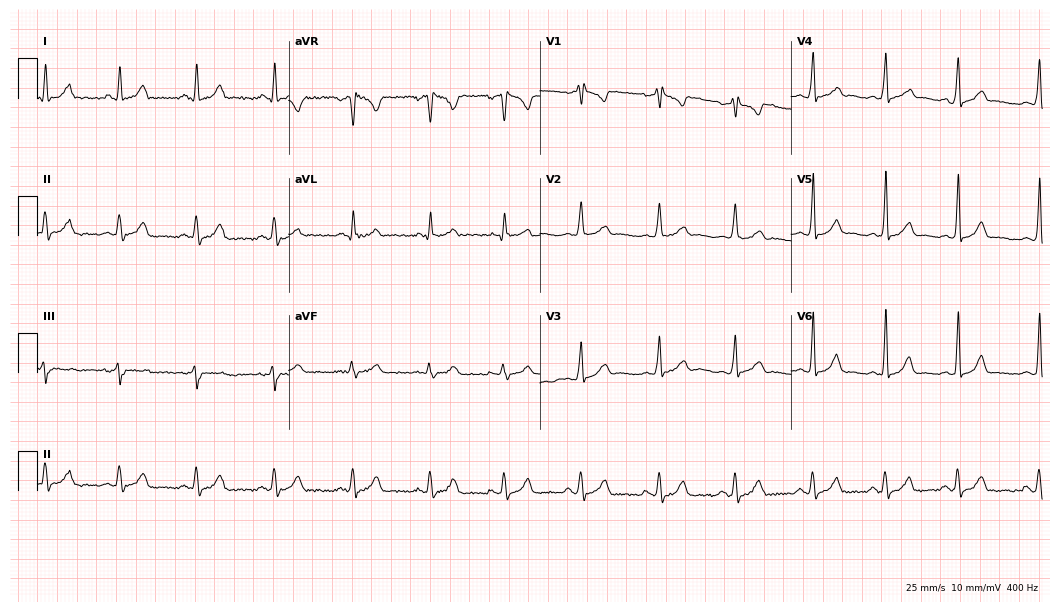
12-lead ECG from a 24-year-old woman. Labelled as a normal ECG.